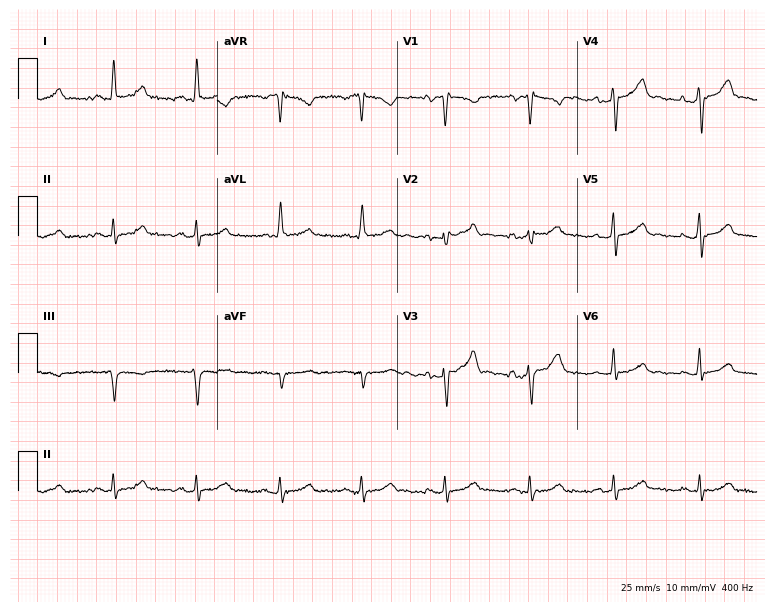
ECG (7.3-second recording at 400 Hz) — a female patient, 46 years old. Screened for six findings — first-degree AV block, right bundle branch block, left bundle branch block, sinus bradycardia, atrial fibrillation, sinus tachycardia — none is recorded.